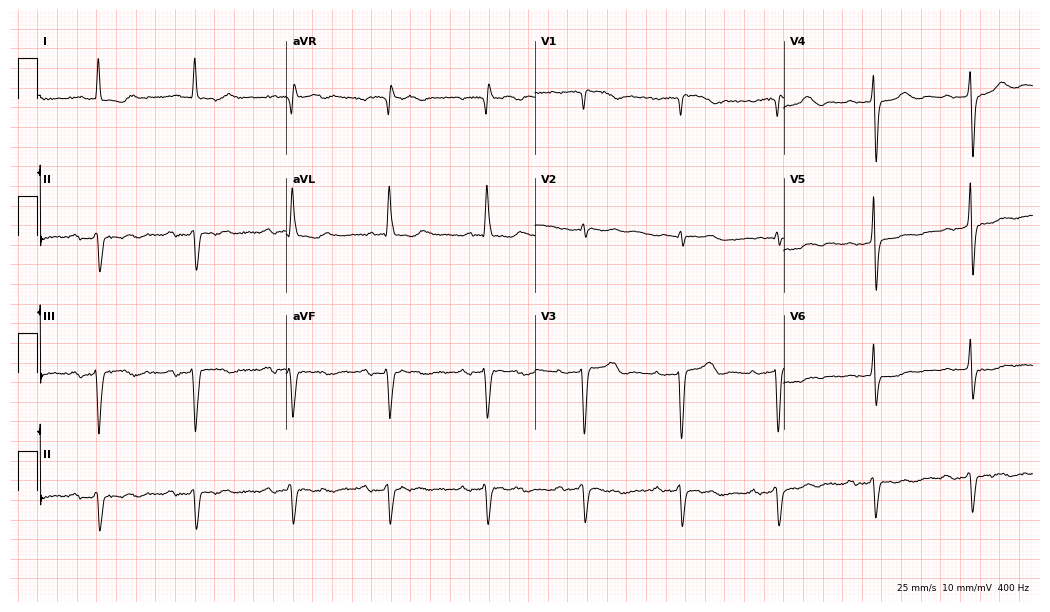
12-lead ECG from a male, 85 years old. Screened for six findings — first-degree AV block, right bundle branch block (RBBB), left bundle branch block (LBBB), sinus bradycardia, atrial fibrillation (AF), sinus tachycardia — none is recorded. Other findings, if any, are not listed.